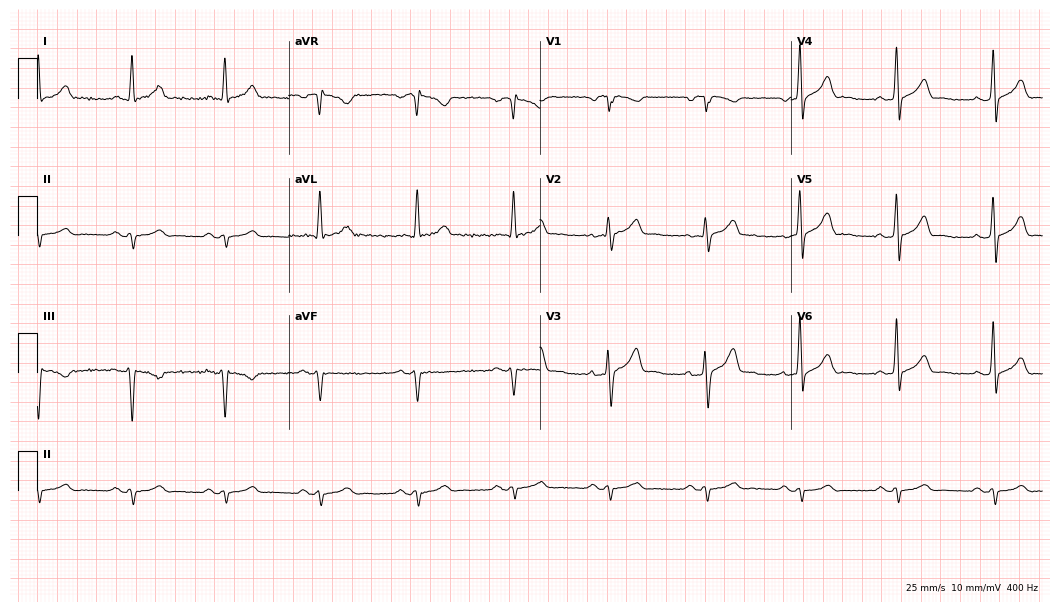
Standard 12-lead ECG recorded from a 53-year-old male (10.2-second recording at 400 Hz). None of these six findings is recorded: first-degree AV block, right bundle branch block, left bundle branch block, sinus bradycardia, atrial fibrillation, sinus tachycardia. Only these six findings were labelled.